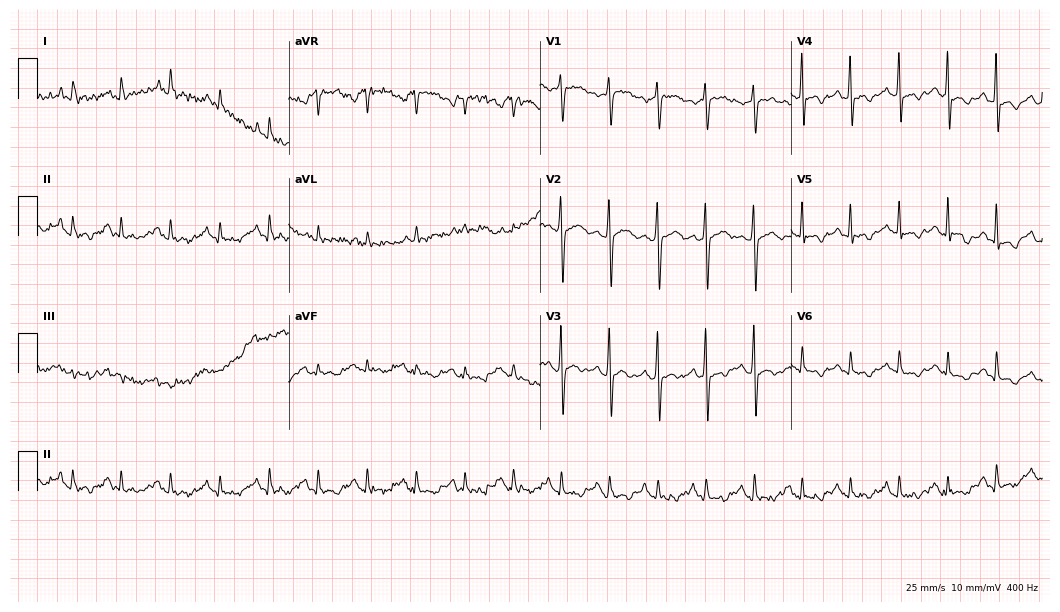
12-lead ECG (10.2-second recording at 400 Hz) from a male, 56 years old. Screened for six findings — first-degree AV block, right bundle branch block, left bundle branch block, sinus bradycardia, atrial fibrillation, sinus tachycardia — none is recorded. Only these six findings were labelled.